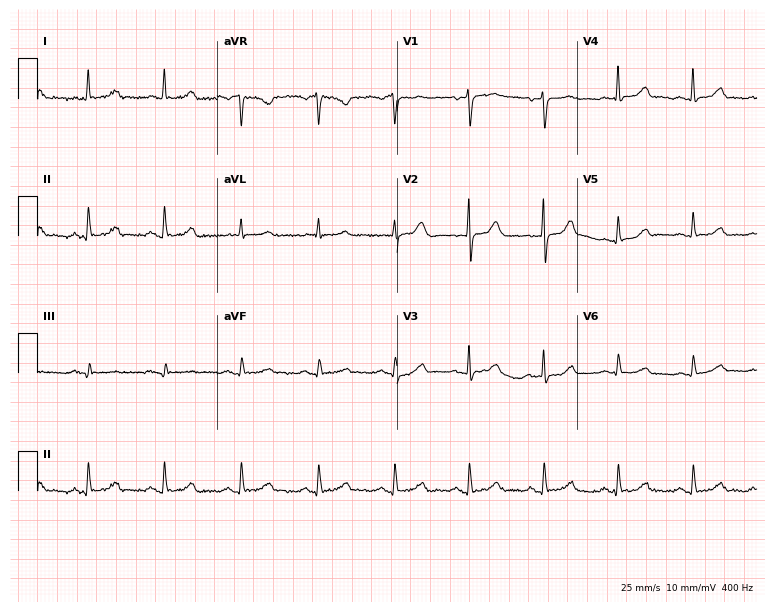
Resting 12-lead electrocardiogram. Patient: a female, 66 years old. Read as a normal ECG.